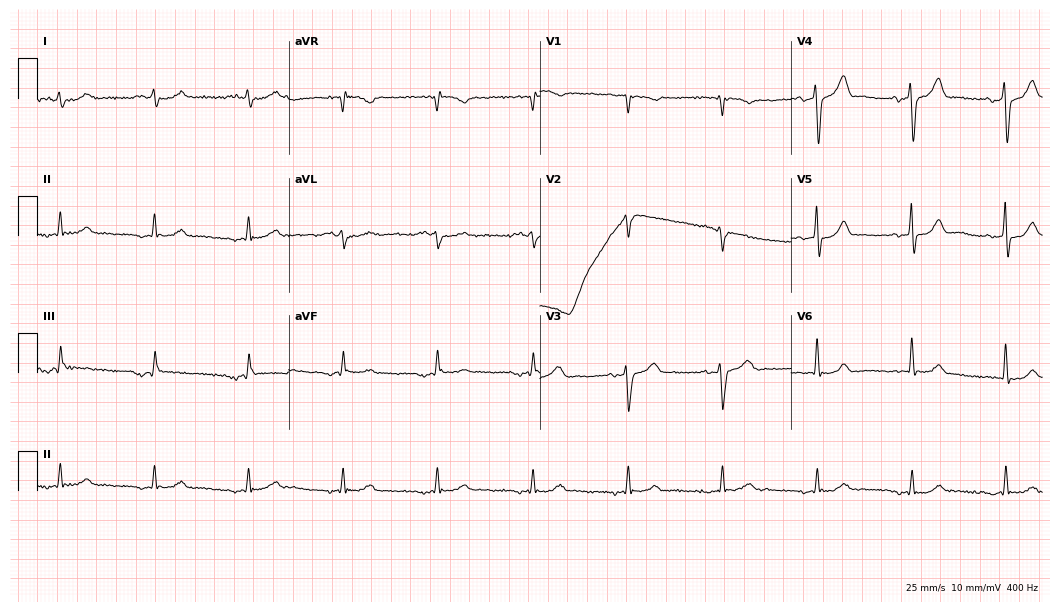
Standard 12-lead ECG recorded from a 71-year-old man. None of these six findings is recorded: first-degree AV block, right bundle branch block, left bundle branch block, sinus bradycardia, atrial fibrillation, sinus tachycardia.